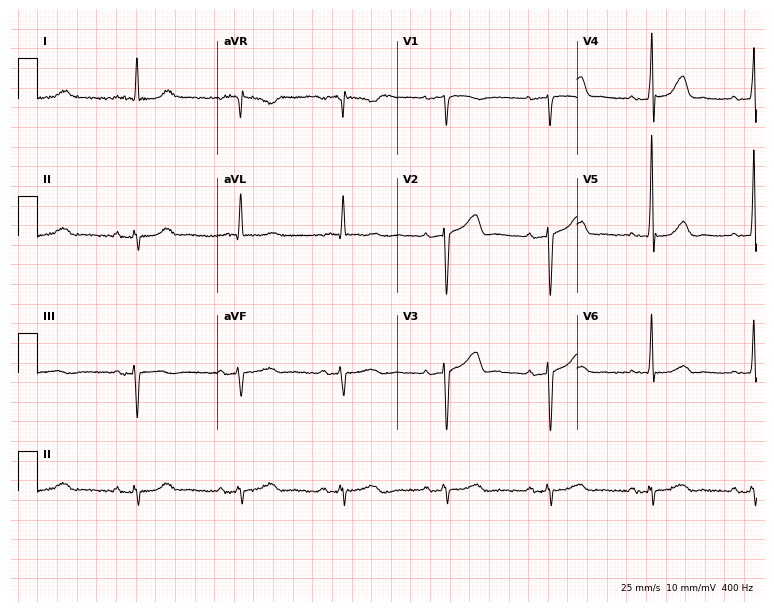
Resting 12-lead electrocardiogram. Patient: a male, 78 years old. None of these six findings is recorded: first-degree AV block, right bundle branch block, left bundle branch block, sinus bradycardia, atrial fibrillation, sinus tachycardia. Only these six findings were labelled.